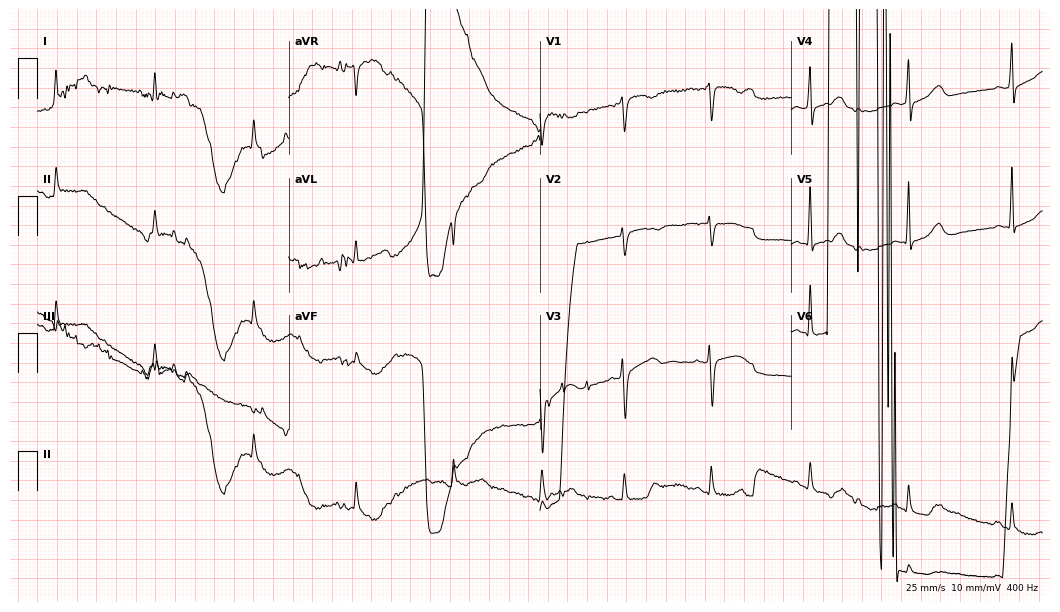
Electrocardiogram (10.2-second recording at 400 Hz), a 48-year-old female patient. Of the six screened findings (first-degree AV block, right bundle branch block (RBBB), left bundle branch block (LBBB), sinus bradycardia, atrial fibrillation (AF), sinus tachycardia), none is recorded. Only these six findings were labelled.